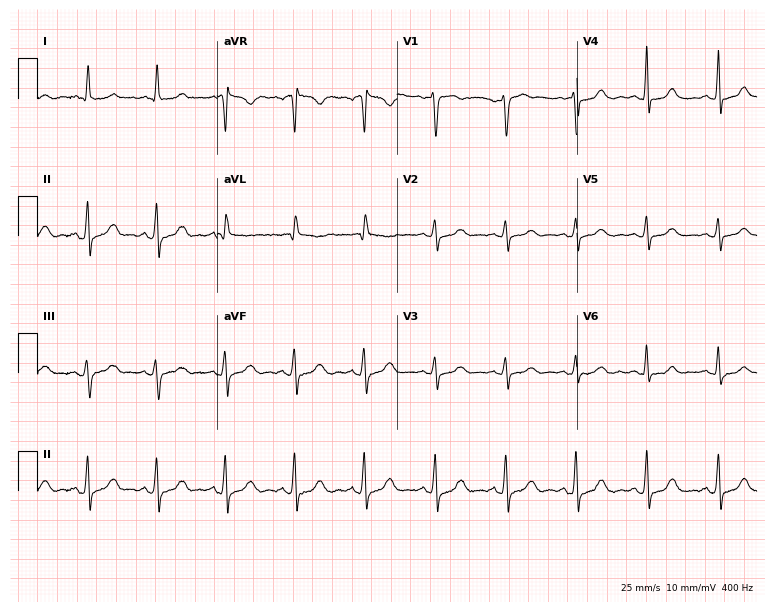
ECG (7.3-second recording at 400 Hz) — a female, 78 years old. Labelled as a normal ECG.